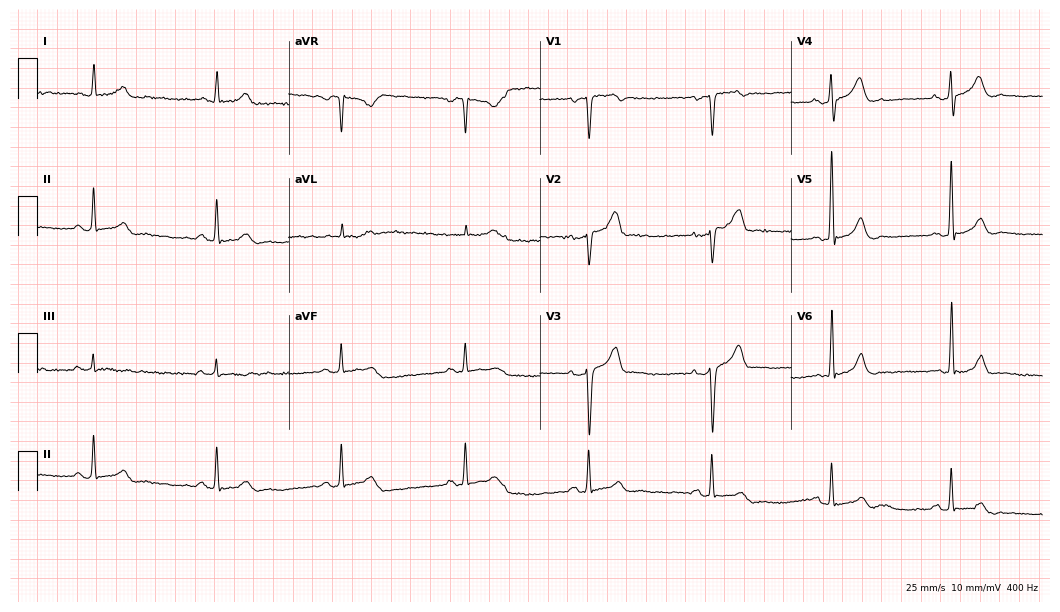
12-lead ECG from a male patient, 65 years old. No first-degree AV block, right bundle branch block (RBBB), left bundle branch block (LBBB), sinus bradycardia, atrial fibrillation (AF) or sinus tachycardia recorded for this tracing.